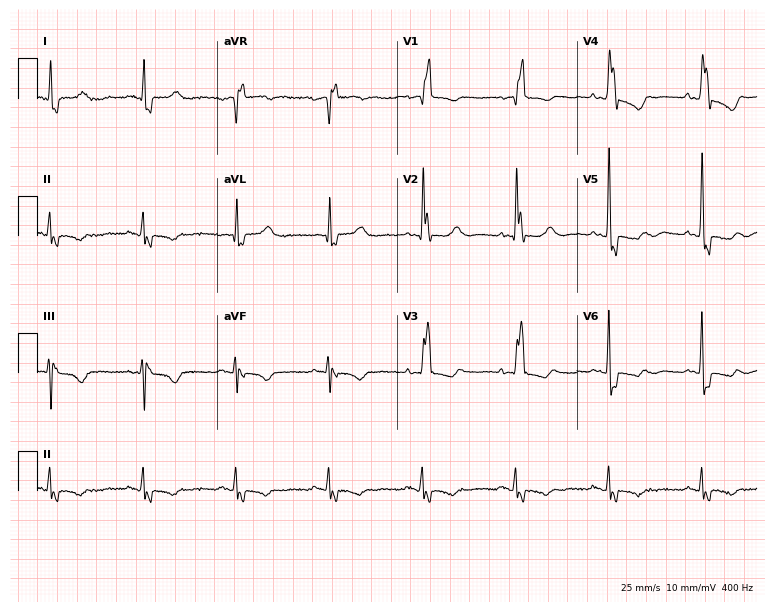
12-lead ECG from a 79-year-old female patient. Findings include right bundle branch block.